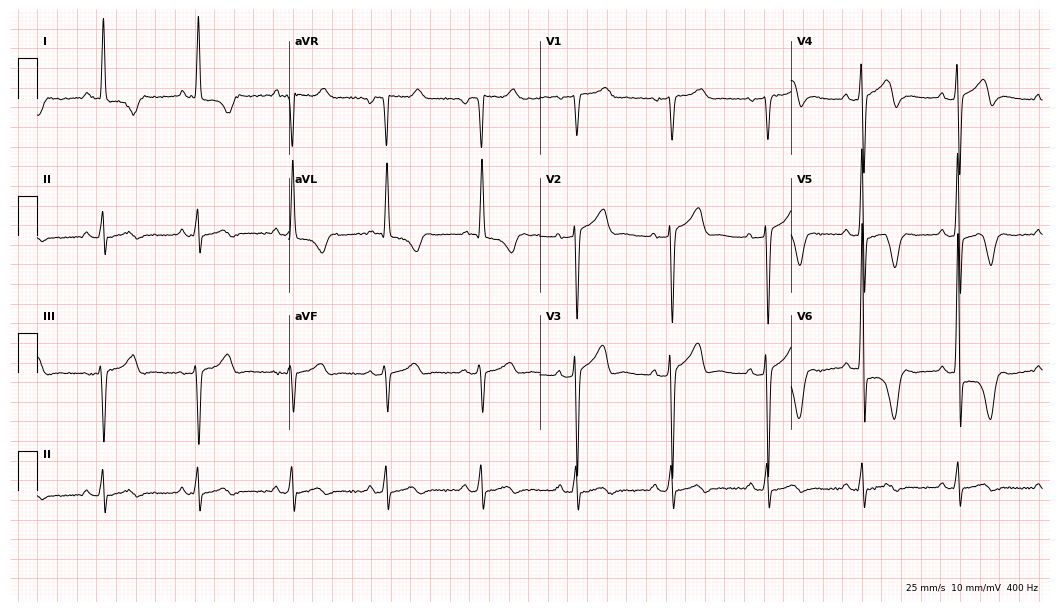
12-lead ECG (10.2-second recording at 400 Hz) from a male patient, 68 years old. Screened for six findings — first-degree AV block, right bundle branch block, left bundle branch block, sinus bradycardia, atrial fibrillation, sinus tachycardia — none is recorded.